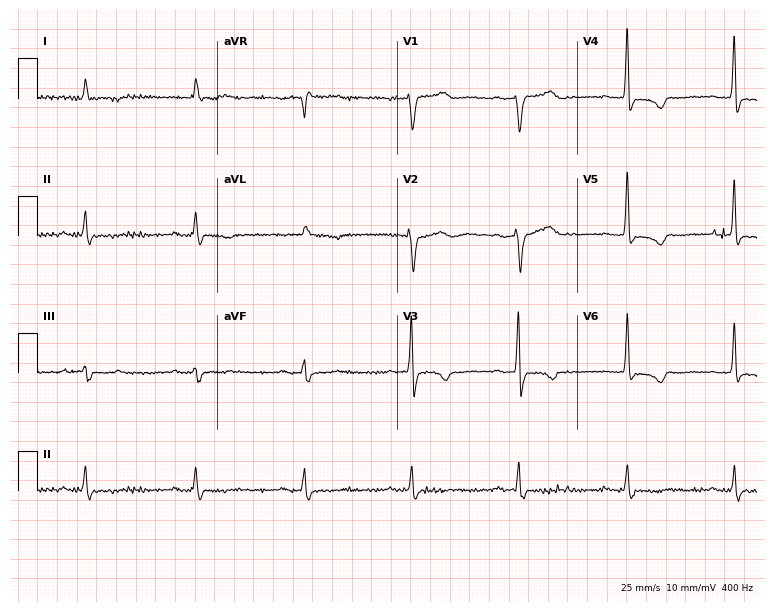
Standard 12-lead ECG recorded from a 75-year-old female. None of these six findings is recorded: first-degree AV block, right bundle branch block, left bundle branch block, sinus bradycardia, atrial fibrillation, sinus tachycardia.